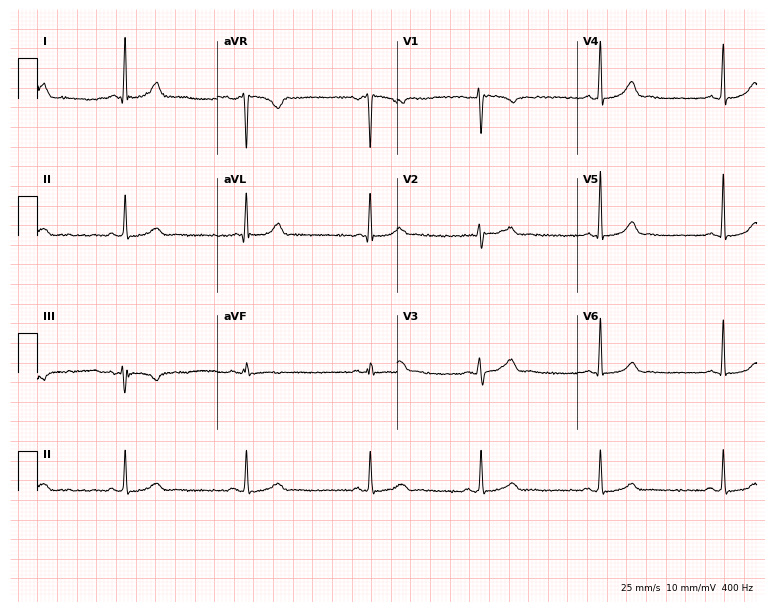
Standard 12-lead ECG recorded from a female, 47 years old (7.3-second recording at 400 Hz). Read as a normal ECG.